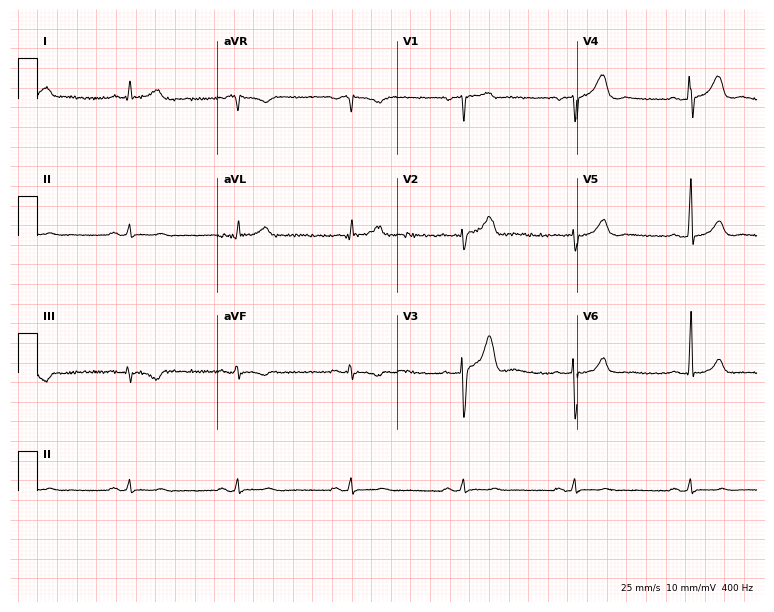
ECG — a male patient, 50 years old. Screened for six findings — first-degree AV block, right bundle branch block (RBBB), left bundle branch block (LBBB), sinus bradycardia, atrial fibrillation (AF), sinus tachycardia — none is recorded.